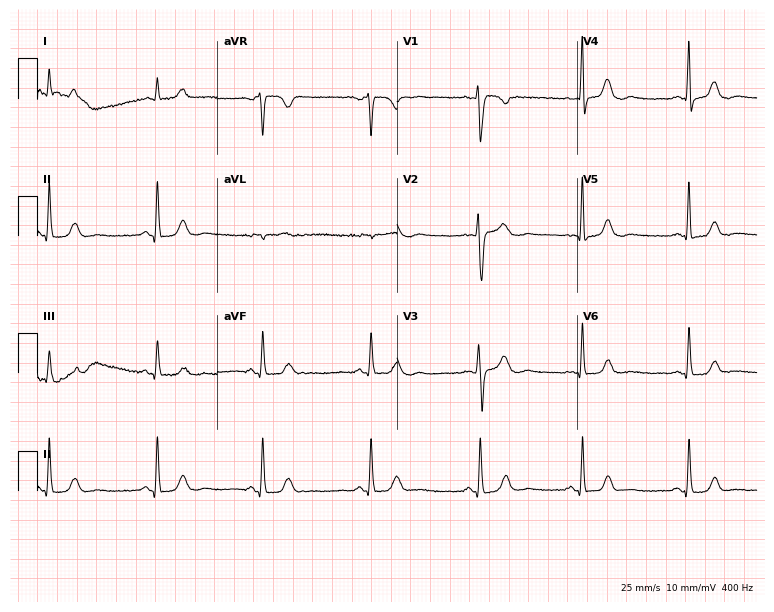
ECG (7.3-second recording at 400 Hz) — a 39-year-old female patient. Labelled as a normal ECG.